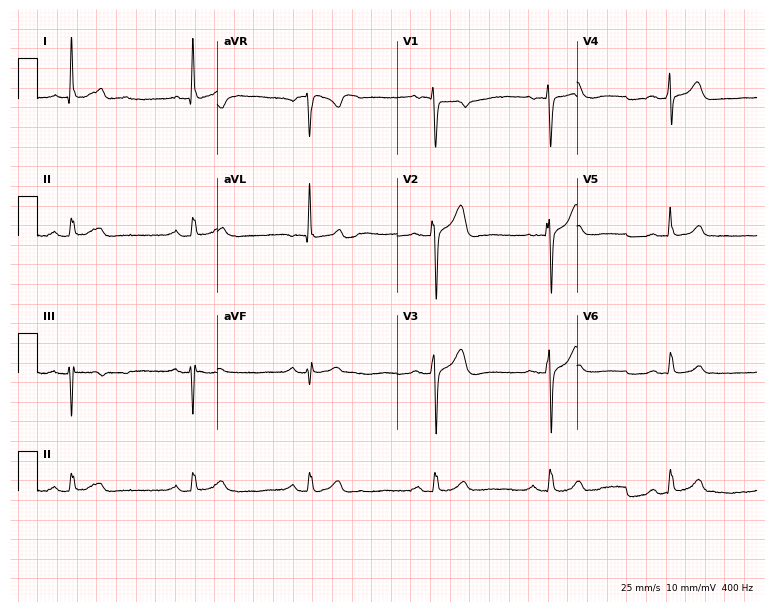
Resting 12-lead electrocardiogram. Patient: a 68-year-old woman. None of these six findings is recorded: first-degree AV block, right bundle branch block, left bundle branch block, sinus bradycardia, atrial fibrillation, sinus tachycardia. Other findings, if any, are not listed.